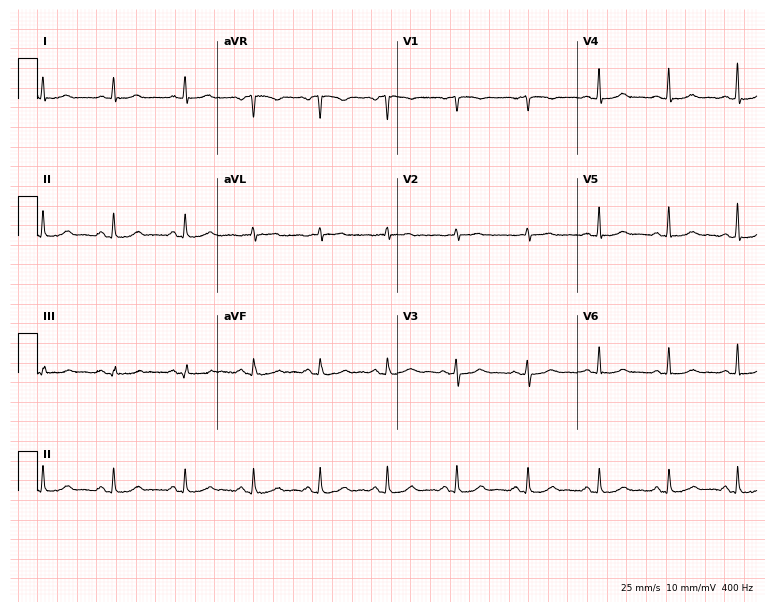
Resting 12-lead electrocardiogram. Patient: a 62-year-old female. Read as a normal ECG.